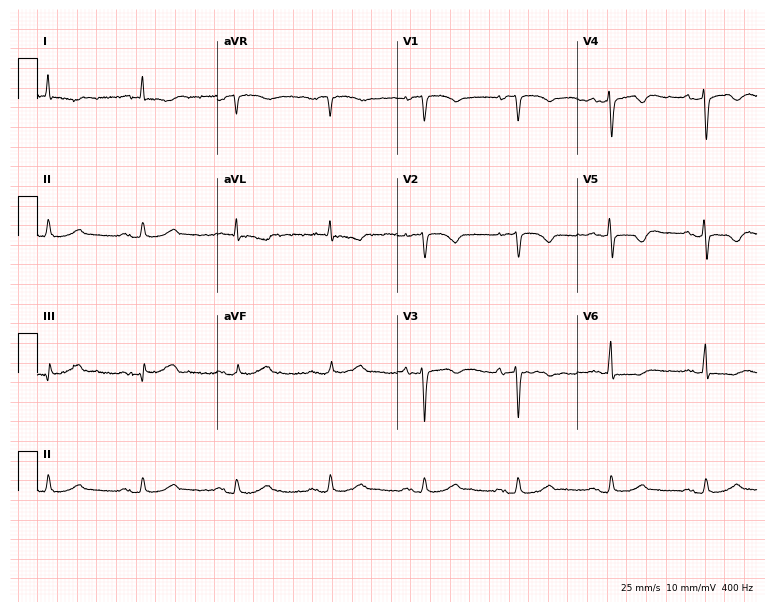
12-lead ECG from a man, 75 years old. No first-degree AV block, right bundle branch block (RBBB), left bundle branch block (LBBB), sinus bradycardia, atrial fibrillation (AF) or sinus tachycardia recorded for this tracing.